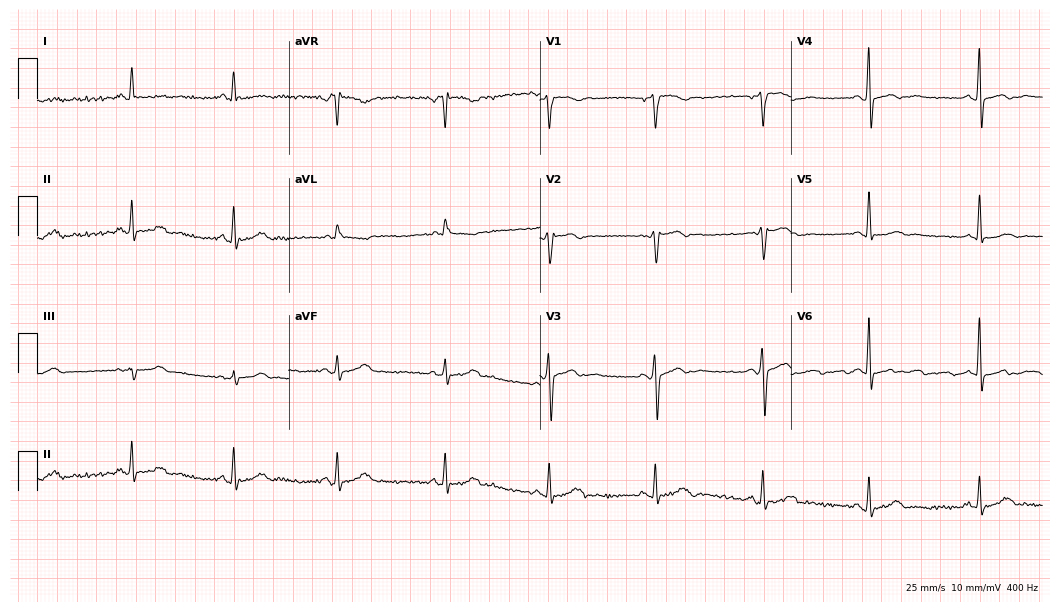
Electrocardiogram, a male, 42 years old. Overall reading on record: normal ECG.